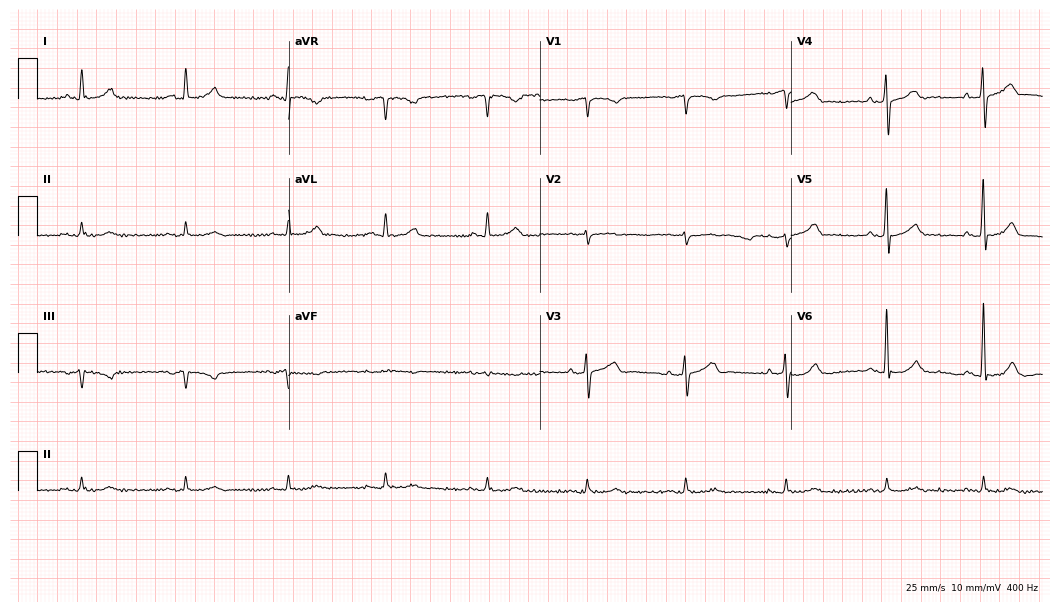
Electrocardiogram, a 72-year-old male patient. Overall reading on record: normal ECG.